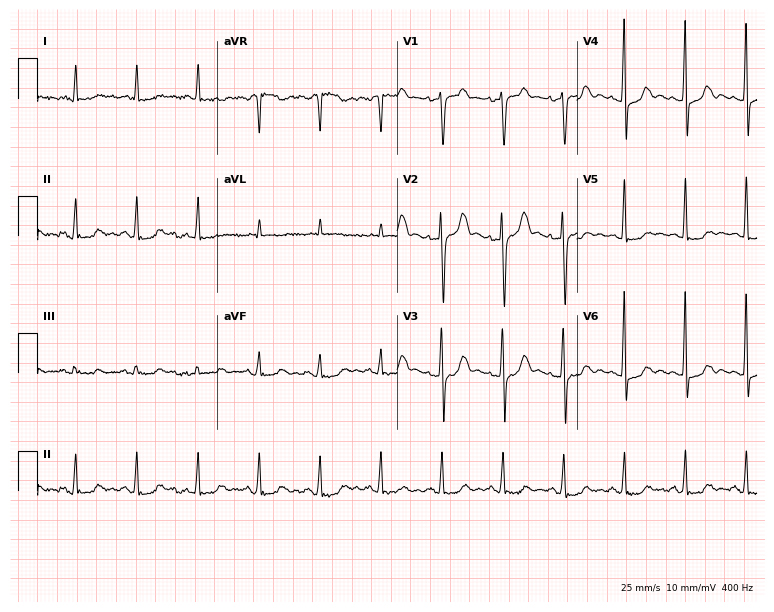
ECG — a female, 62 years old. Screened for six findings — first-degree AV block, right bundle branch block (RBBB), left bundle branch block (LBBB), sinus bradycardia, atrial fibrillation (AF), sinus tachycardia — none is recorded. Findings outside these six are not listed.